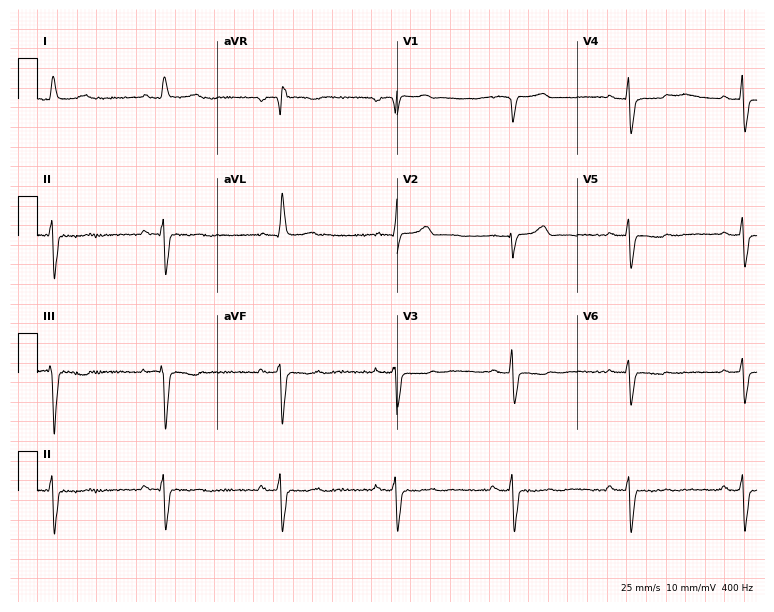
Standard 12-lead ECG recorded from a female, 61 years old. The tracing shows left bundle branch block.